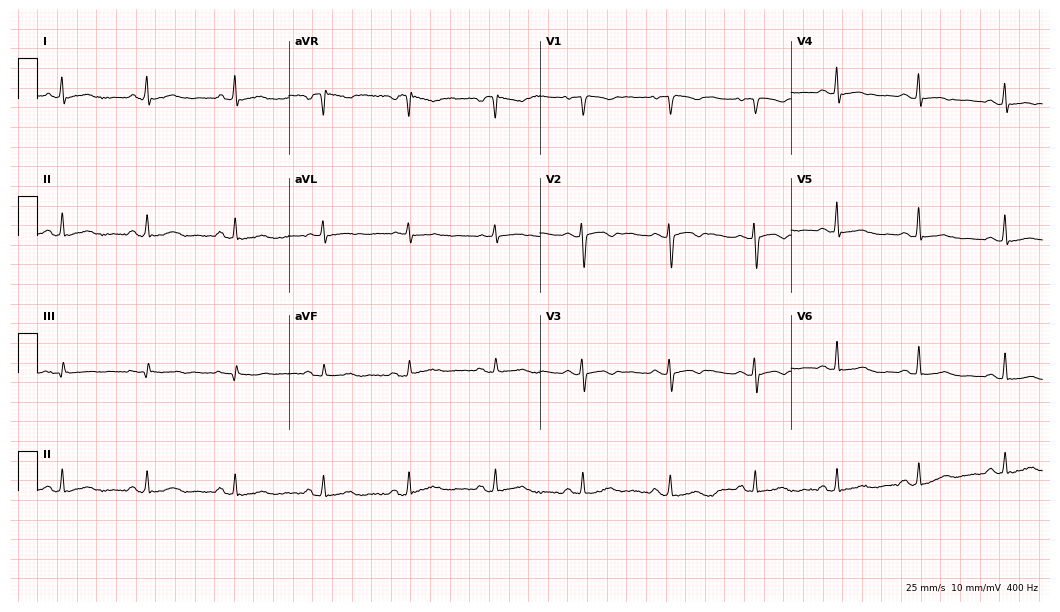
12-lead ECG from a female, 45 years old (10.2-second recording at 400 Hz). No first-degree AV block, right bundle branch block (RBBB), left bundle branch block (LBBB), sinus bradycardia, atrial fibrillation (AF) or sinus tachycardia recorded for this tracing. Only these six findings were labelled.